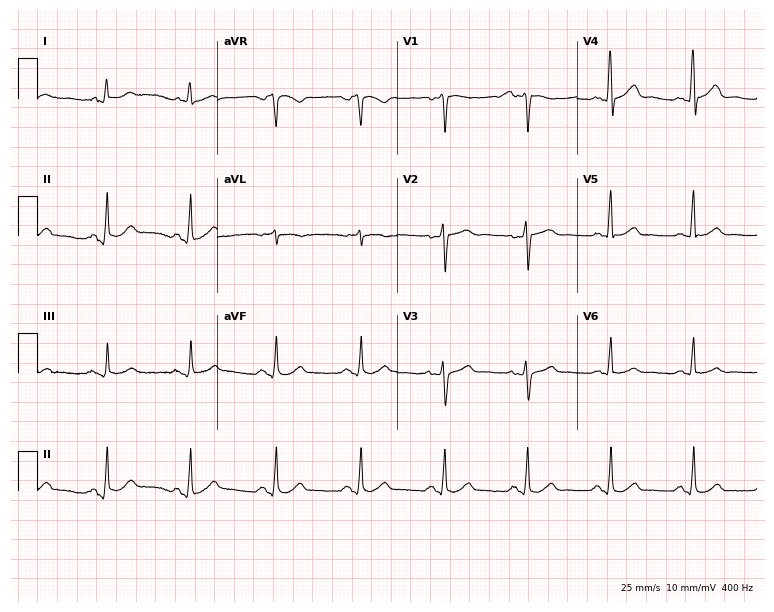
ECG — a 60-year-old male patient. Labelled as a normal ECG.